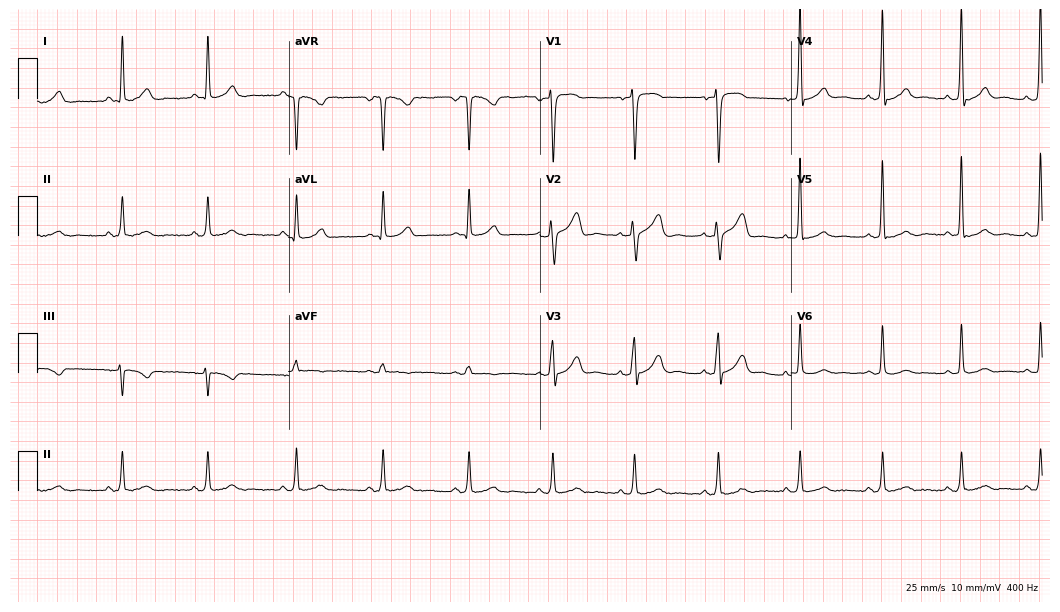
Standard 12-lead ECG recorded from a 55-year-old man (10.2-second recording at 400 Hz). Read as a normal ECG.